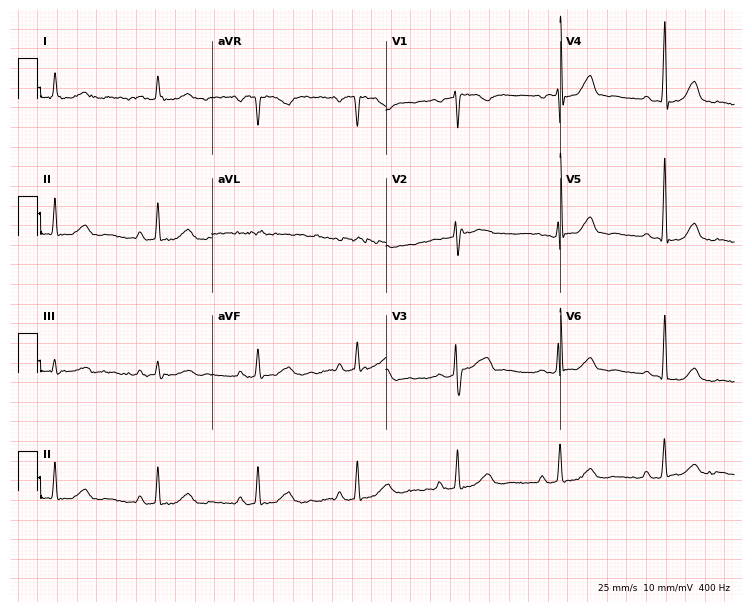
Resting 12-lead electrocardiogram (7.1-second recording at 400 Hz). Patient: a 70-year-old female. None of these six findings is recorded: first-degree AV block, right bundle branch block, left bundle branch block, sinus bradycardia, atrial fibrillation, sinus tachycardia. Findings outside these six are not listed.